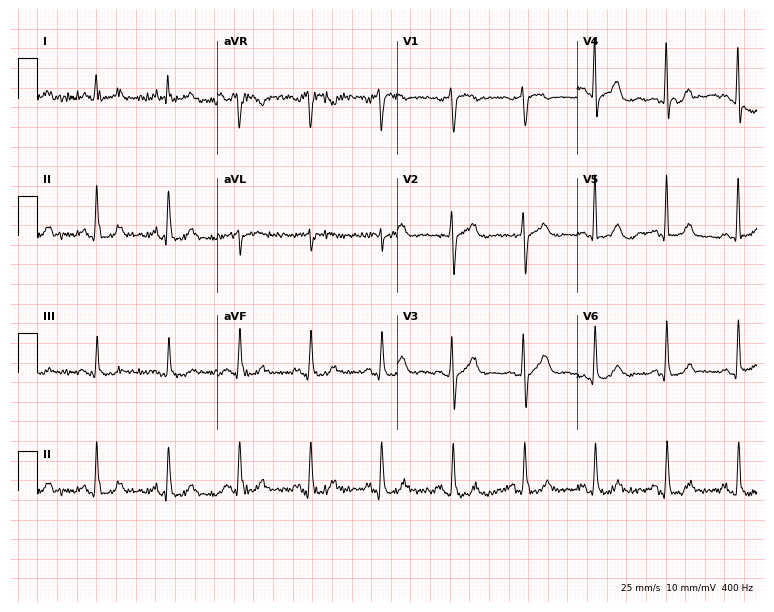
Standard 12-lead ECG recorded from a man, 51 years old. None of these six findings is recorded: first-degree AV block, right bundle branch block (RBBB), left bundle branch block (LBBB), sinus bradycardia, atrial fibrillation (AF), sinus tachycardia. Other findings, if any, are not listed.